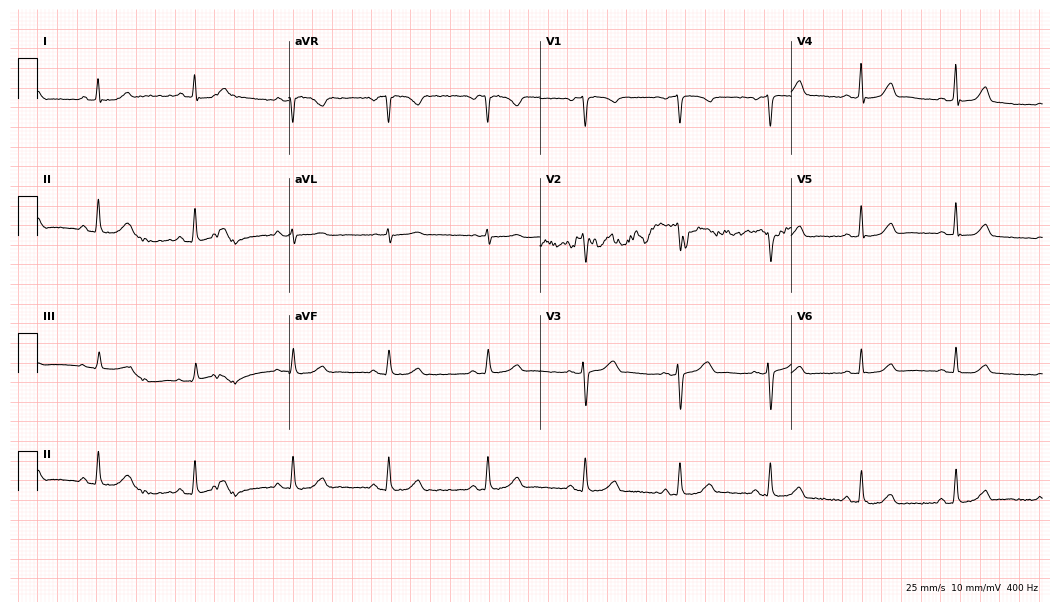
12-lead ECG from a woman, 46 years old (10.2-second recording at 400 Hz). Recorded interpretation: within normal limits.